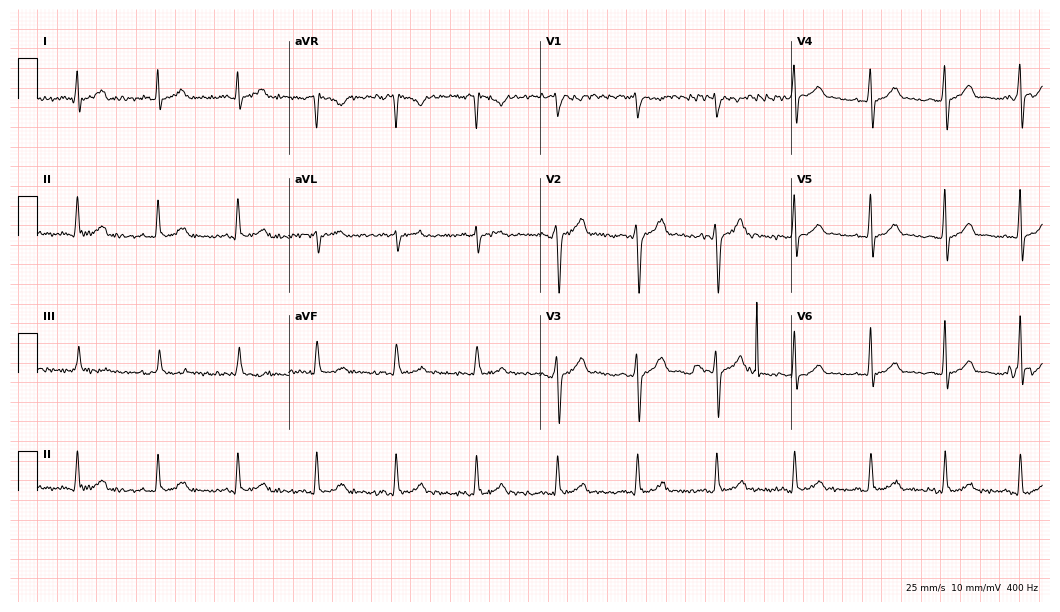
12-lead ECG from a 28-year-old man. No first-degree AV block, right bundle branch block, left bundle branch block, sinus bradycardia, atrial fibrillation or sinus tachycardia recorded for this tracing.